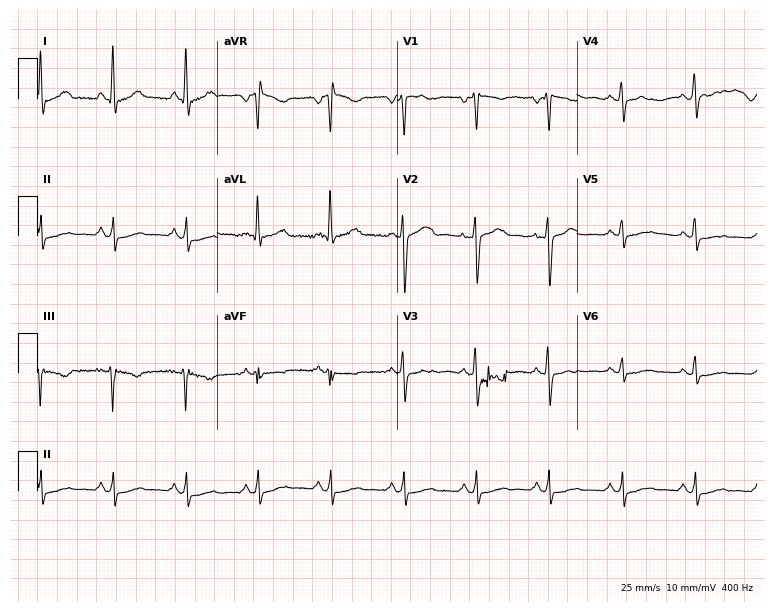
Resting 12-lead electrocardiogram. Patient: a woman, 51 years old. None of these six findings is recorded: first-degree AV block, right bundle branch block, left bundle branch block, sinus bradycardia, atrial fibrillation, sinus tachycardia. Other findings, if any, are not listed.